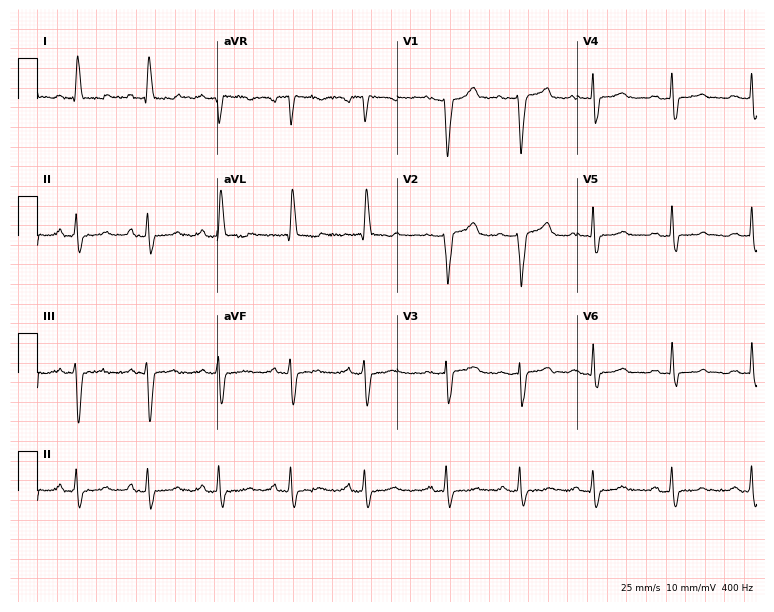
Standard 12-lead ECG recorded from a female patient, 63 years old. None of these six findings is recorded: first-degree AV block, right bundle branch block (RBBB), left bundle branch block (LBBB), sinus bradycardia, atrial fibrillation (AF), sinus tachycardia. Only these six findings were labelled.